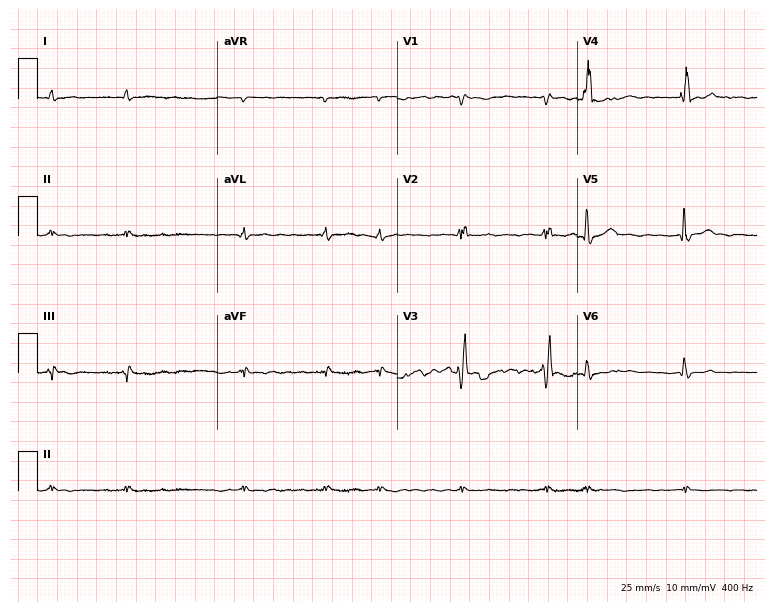
12-lead ECG from a man, 75 years old (7.3-second recording at 400 Hz). Shows atrial fibrillation (AF).